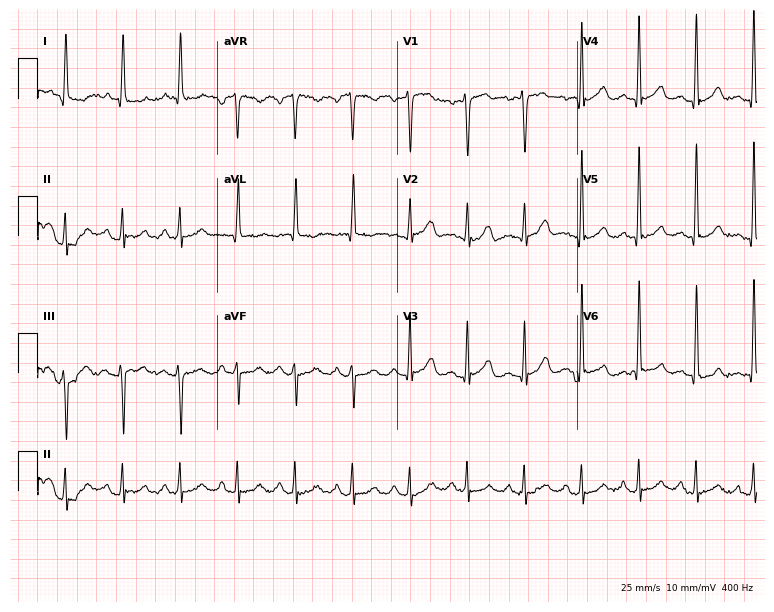
Standard 12-lead ECG recorded from a 78-year-old woman. The tracing shows sinus tachycardia (a sinus rate of 100 beats per minute or more).